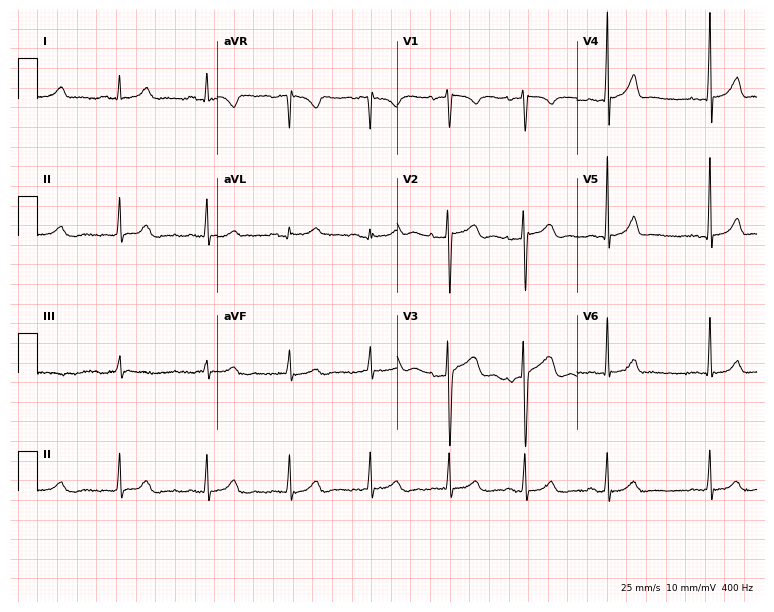
12-lead ECG from a 22-year-old male patient. Screened for six findings — first-degree AV block, right bundle branch block, left bundle branch block, sinus bradycardia, atrial fibrillation, sinus tachycardia — none is recorded.